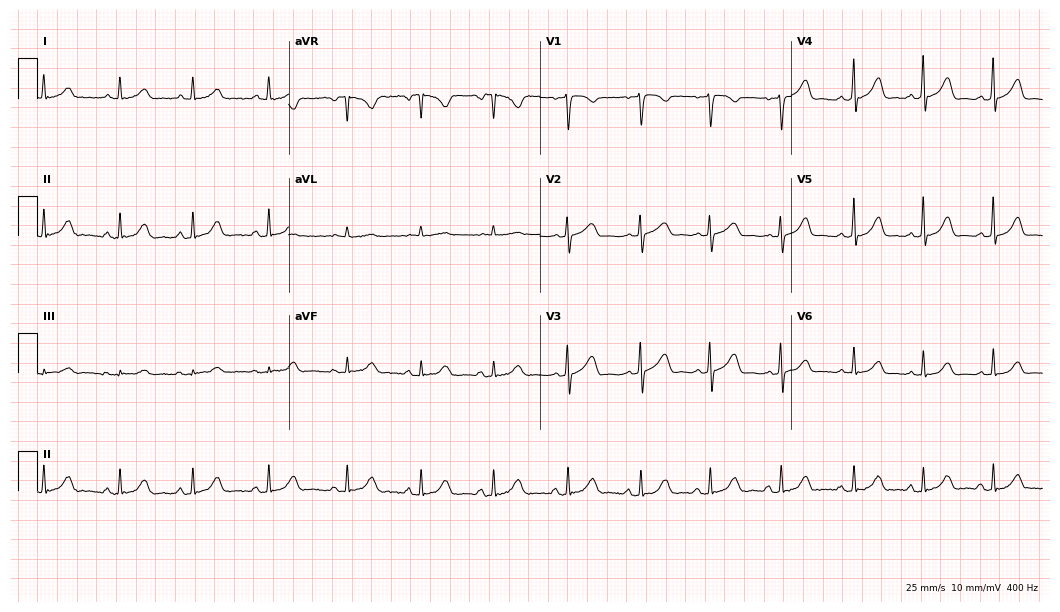
Resting 12-lead electrocardiogram (10.2-second recording at 400 Hz). Patient: a 19-year-old female. None of these six findings is recorded: first-degree AV block, right bundle branch block, left bundle branch block, sinus bradycardia, atrial fibrillation, sinus tachycardia.